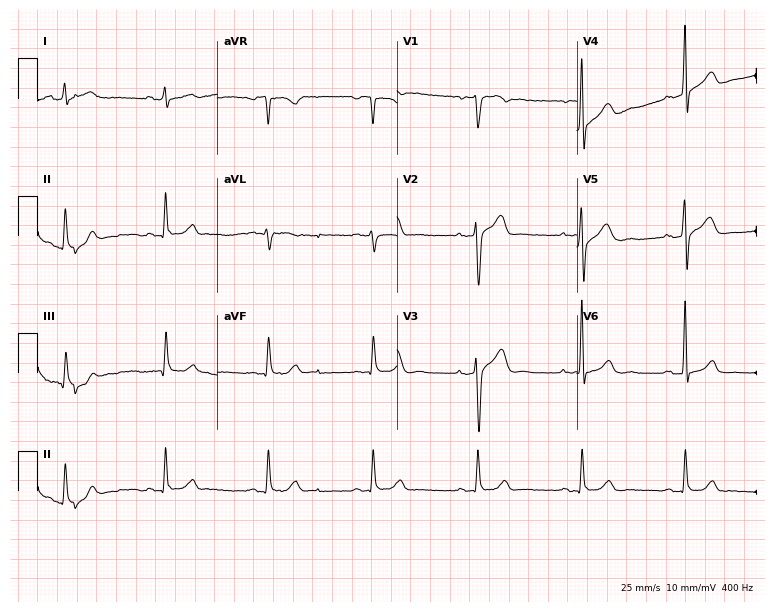
12-lead ECG from a male, 50 years old. No first-degree AV block, right bundle branch block (RBBB), left bundle branch block (LBBB), sinus bradycardia, atrial fibrillation (AF) or sinus tachycardia recorded for this tracing.